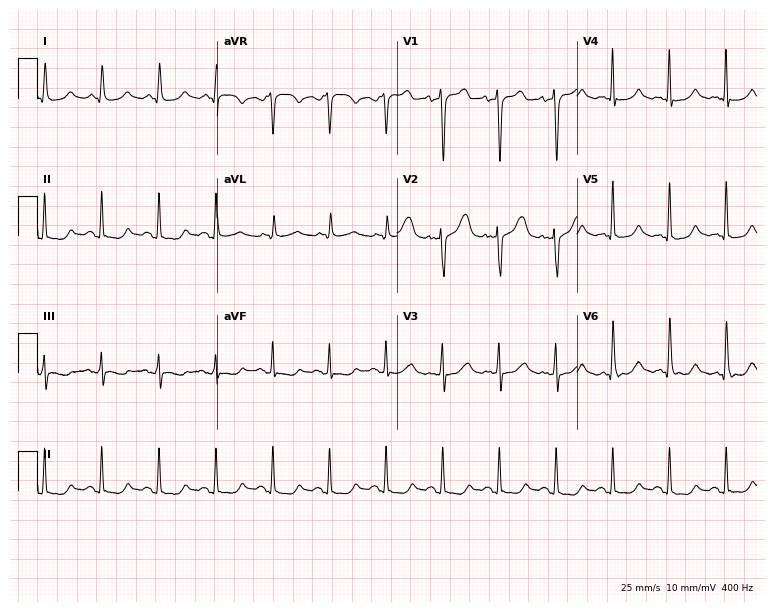
12-lead ECG from a female patient, 45 years old. Labelled as a normal ECG.